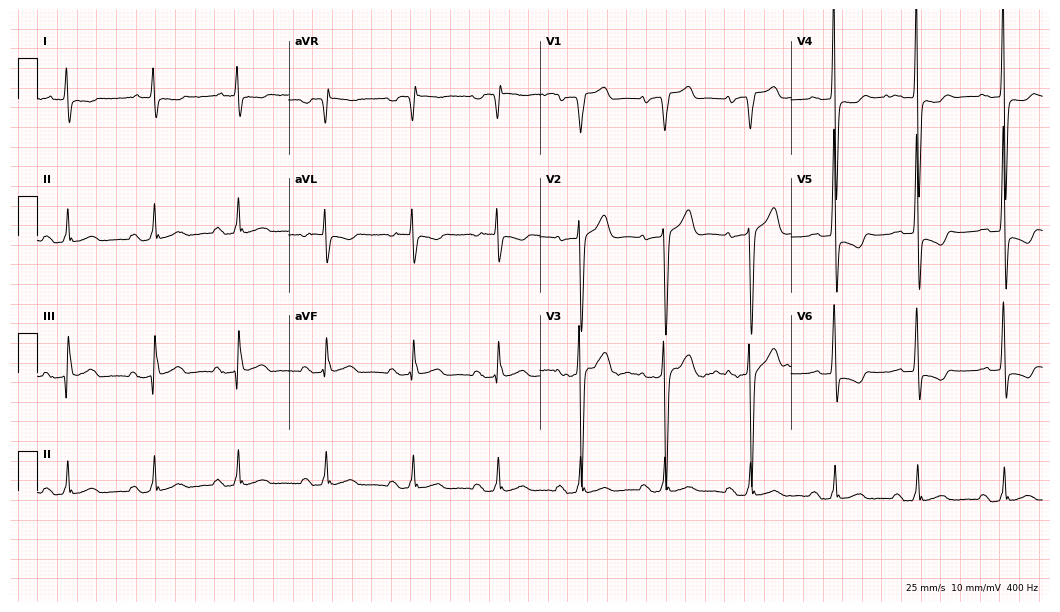
Resting 12-lead electrocardiogram (10.2-second recording at 400 Hz). Patient: a man, 65 years old. The tracing shows first-degree AV block.